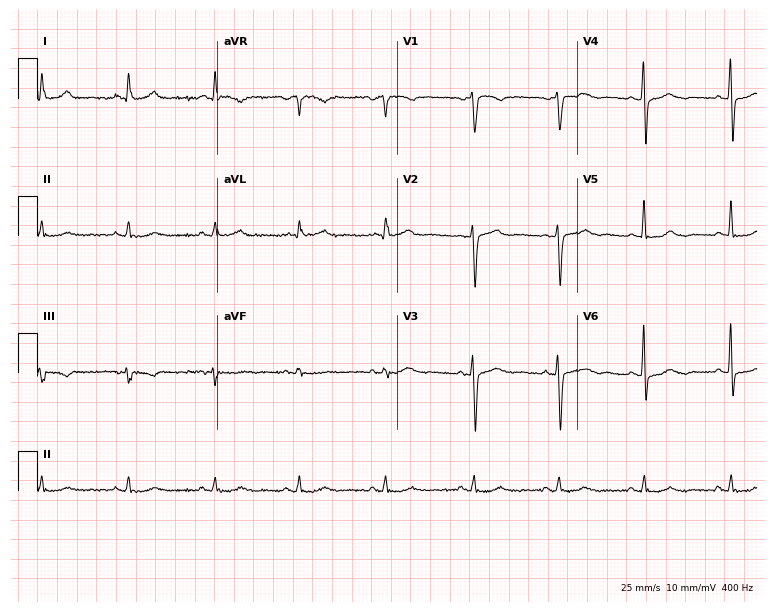
12-lead ECG (7.3-second recording at 400 Hz) from a 69-year-old male. Labelled as a normal ECG.